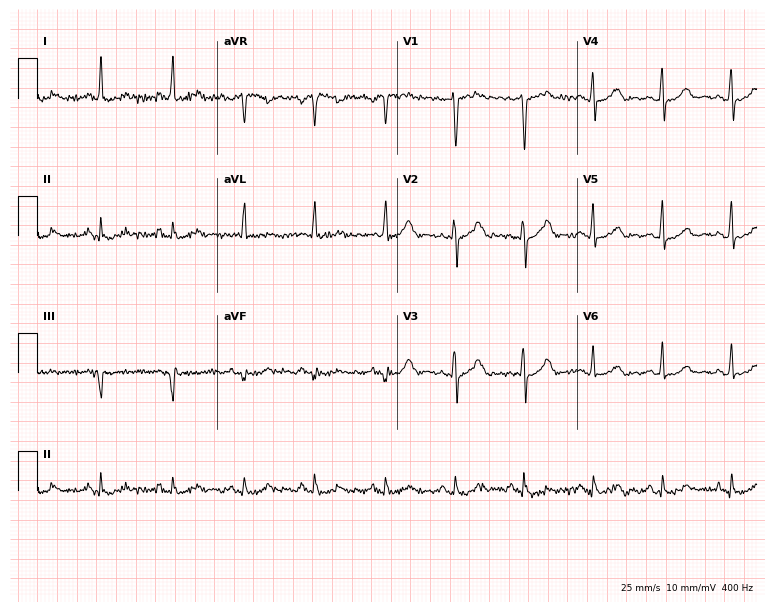
Standard 12-lead ECG recorded from a 41-year-old female. Read as a normal ECG.